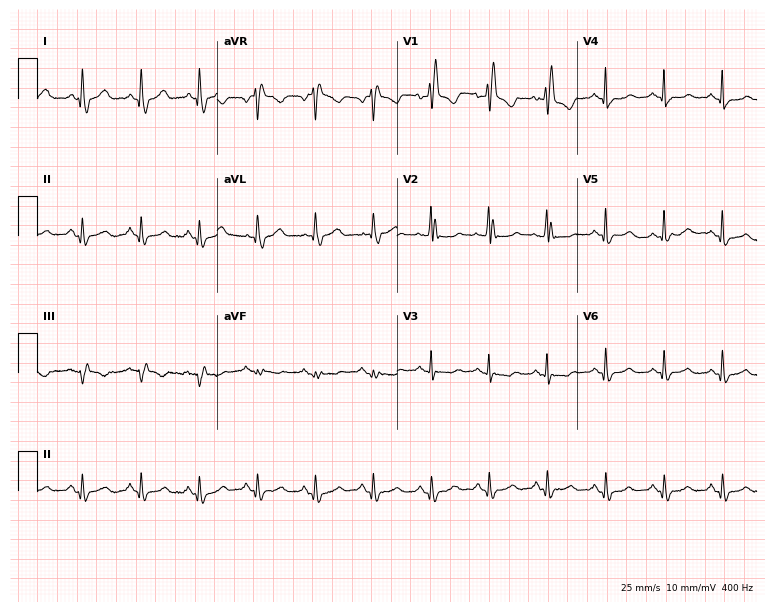
Standard 12-lead ECG recorded from a woman, 81 years old. The tracing shows right bundle branch block (RBBB).